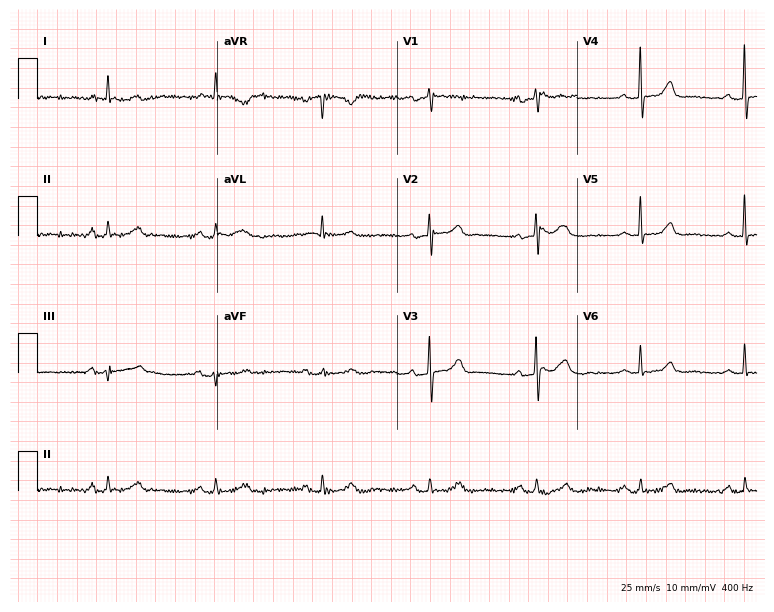
12-lead ECG (7.3-second recording at 400 Hz) from an 82-year-old woman. Labelled as a normal ECG.